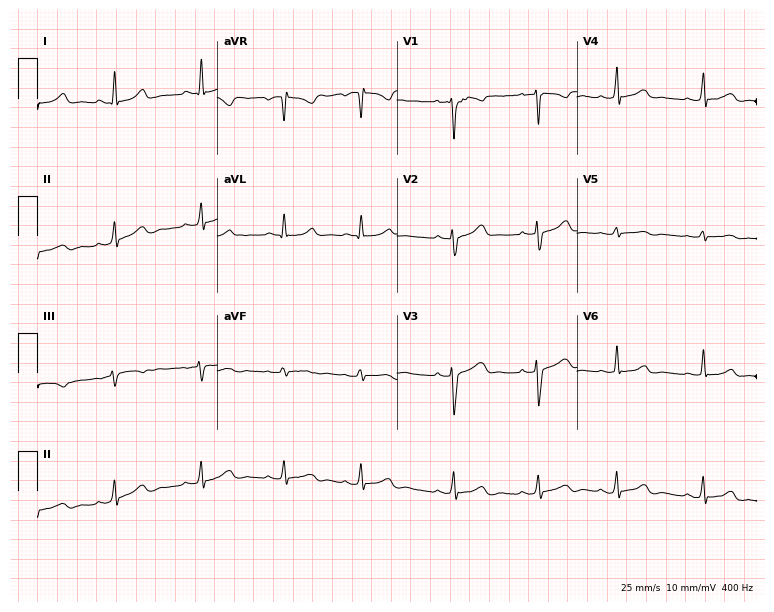
Resting 12-lead electrocardiogram (7.3-second recording at 400 Hz). Patient: a female, 25 years old. None of these six findings is recorded: first-degree AV block, right bundle branch block, left bundle branch block, sinus bradycardia, atrial fibrillation, sinus tachycardia.